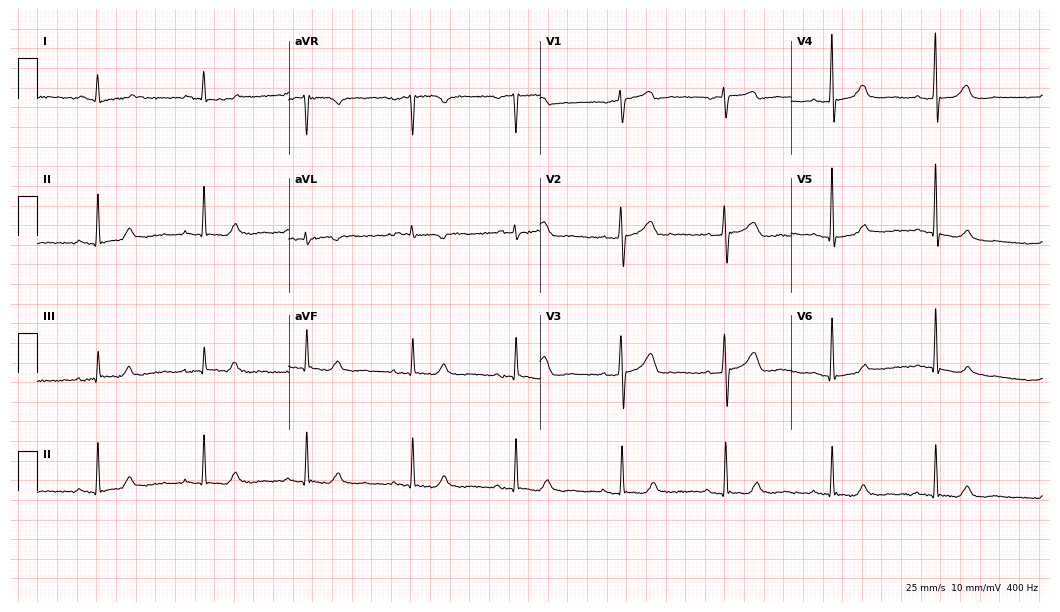
Standard 12-lead ECG recorded from an 81-year-old female (10.2-second recording at 400 Hz). None of these six findings is recorded: first-degree AV block, right bundle branch block, left bundle branch block, sinus bradycardia, atrial fibrillation, sinus tachycardia. Only these six findings were labelled.